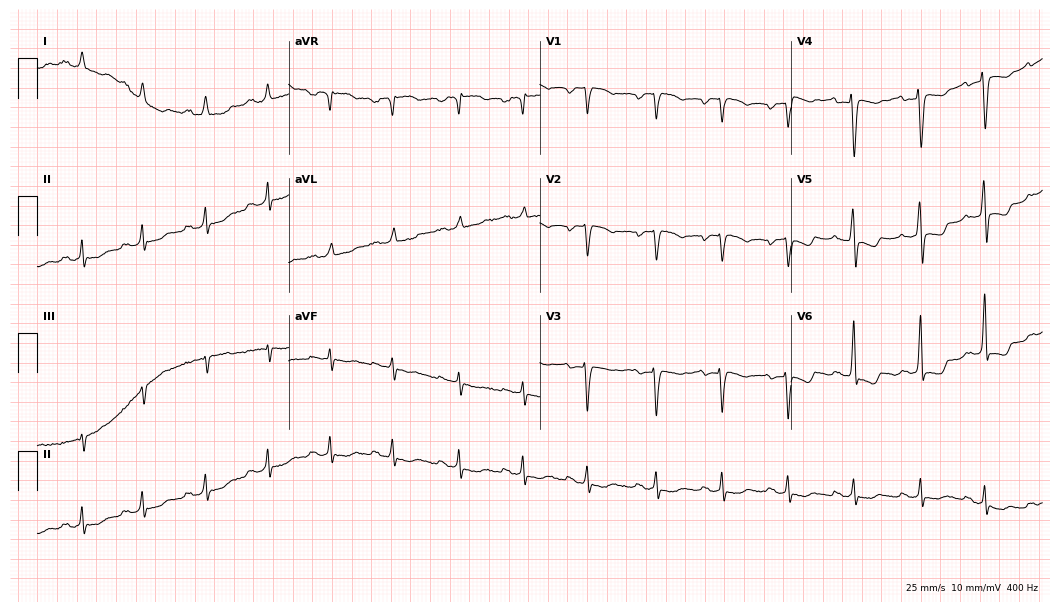
12-lead ECG (10.2-second recording at 400 Hz) from a 43-year-old woman. Screened for six findings — first-degree AV block, right bundle branch block (RBBB), left bundle branch block (LBBB), sinus bradycardia, atrial fibrillation (AF), sinus tachycardia — none is recorded. Findings outside these six are not listed.